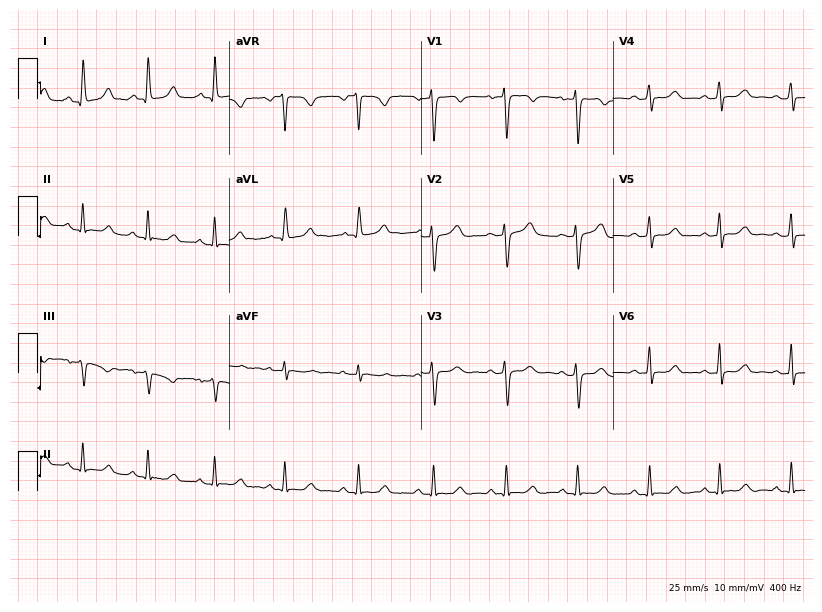
Resting 12-lead electrocardiogram (7.8-second recording at 400 Hz). Patient: a woman, 37 years old. Read as a normal ECG.